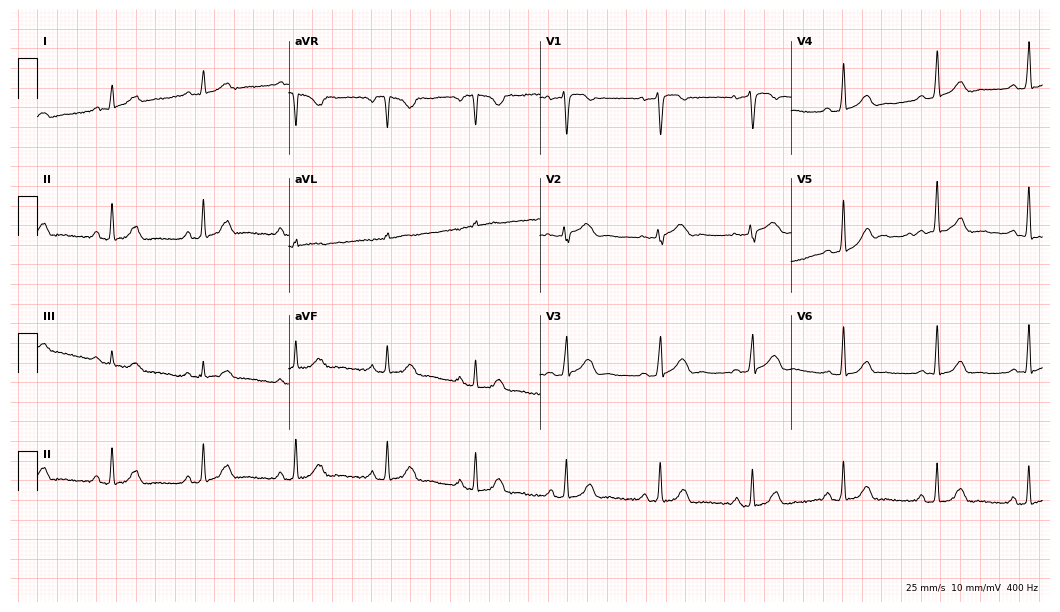
Electrocardiogram (10.2-second recording at 400 Hz), a woman, 34 years old. Overall reading on record: normal ECG.